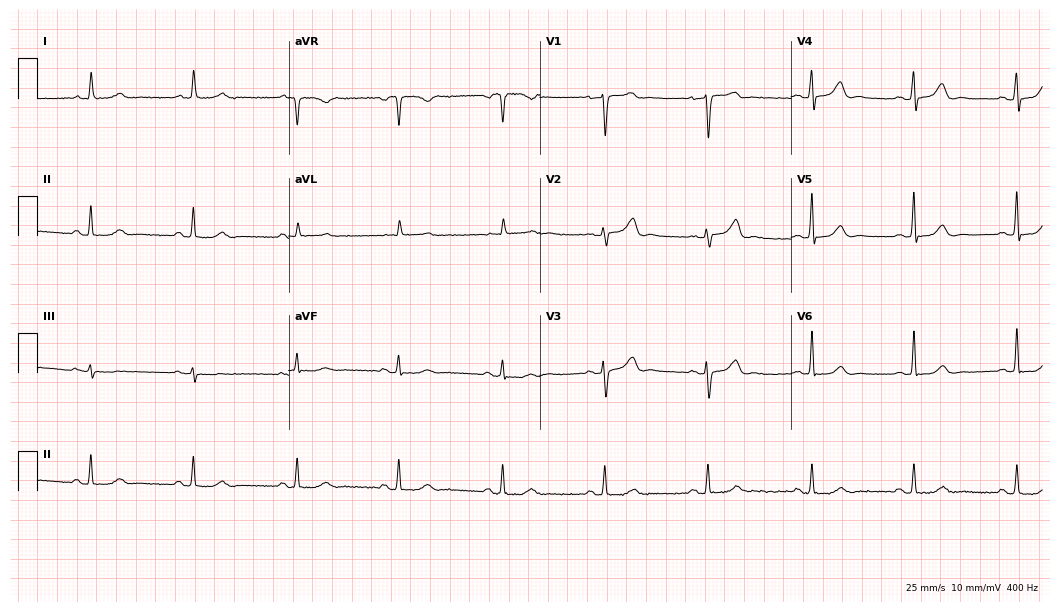
12-lead ECG from a female patient, 41 years old. Labelled as a normal ECG.